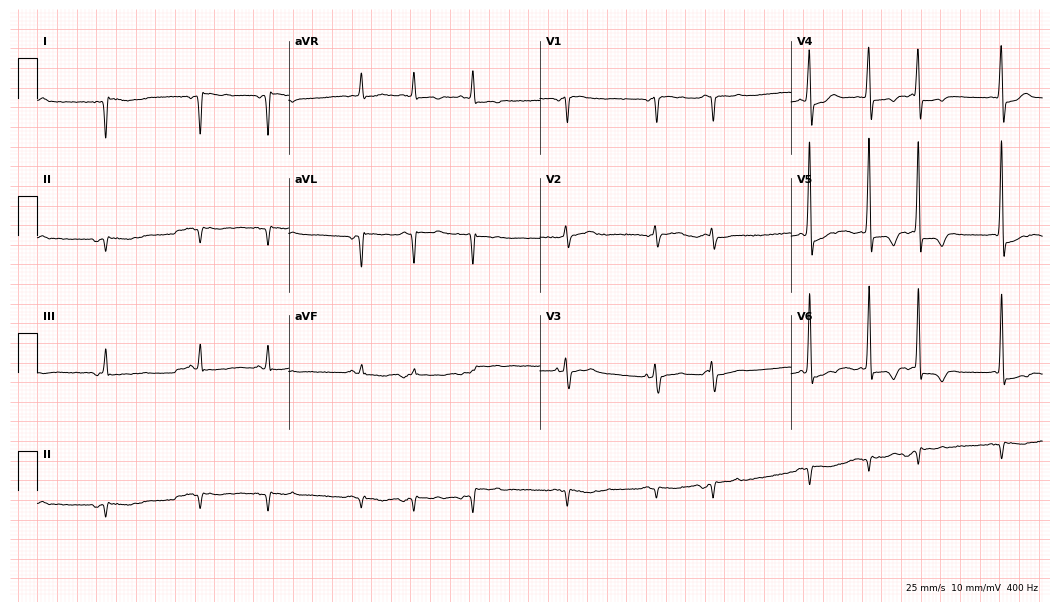
Resting 12-lead electrocardiogram. Patient: an 83-year-old male. None of these six findings is recorded: first-degree AV block, right bundle branch block, left bundle branch block, sinus bradycardia, atrial fibrillation, sinus tachycardia.